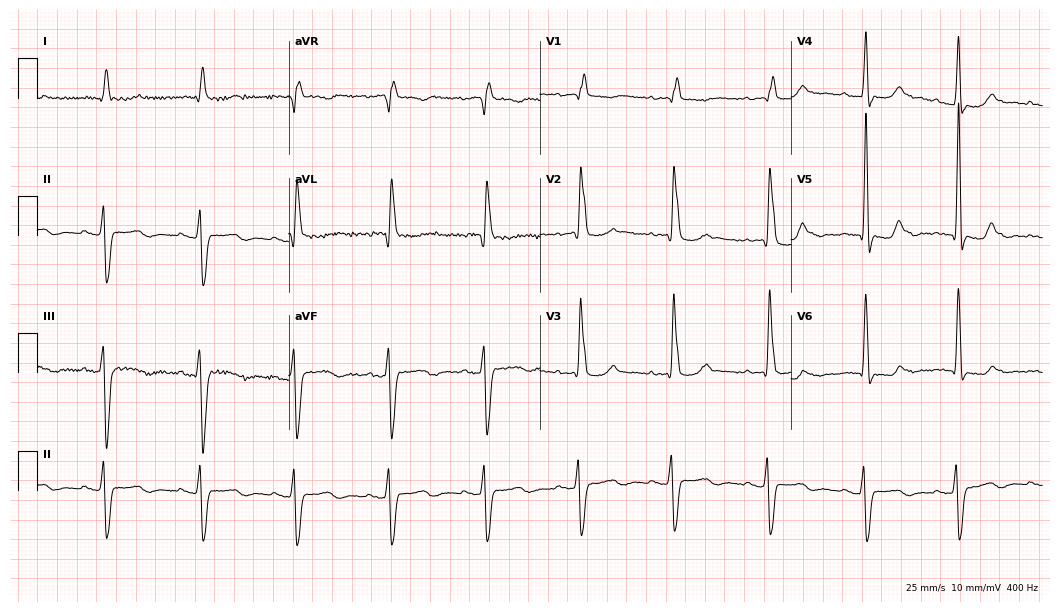
ECG — a female patient, 80 years old. Screened for six findings — first-degree AV block, right bundle branch block, left bundle branch block, sinus bradycardia, atrial fibrillation, sinus tachycardia — none is recorded. Other findings, if any, are not listed.